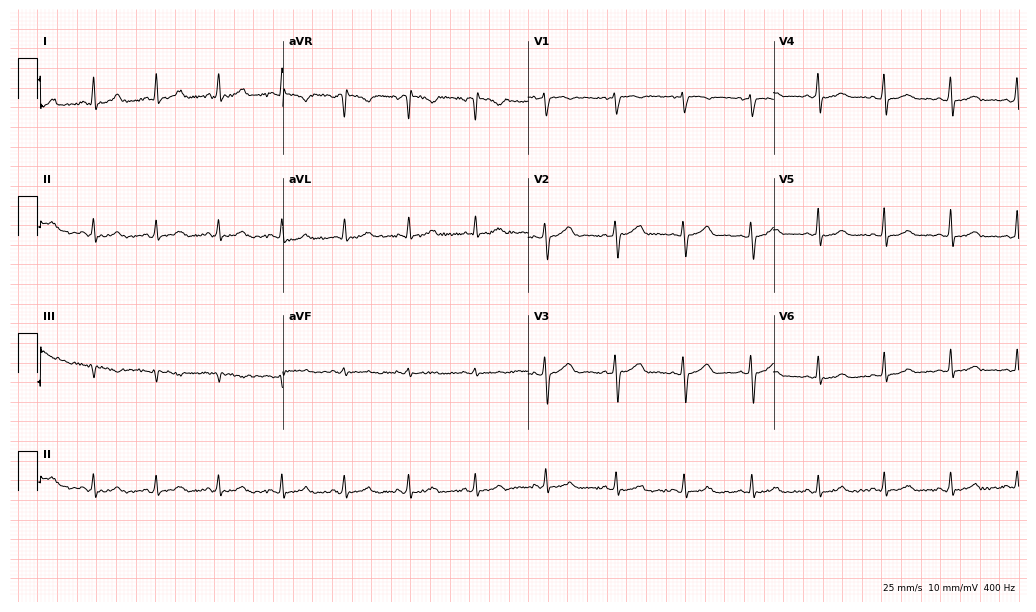
Resting 12-lead electrocardiogram. Patient: a female, 41 years old. Read as a normal ECG.